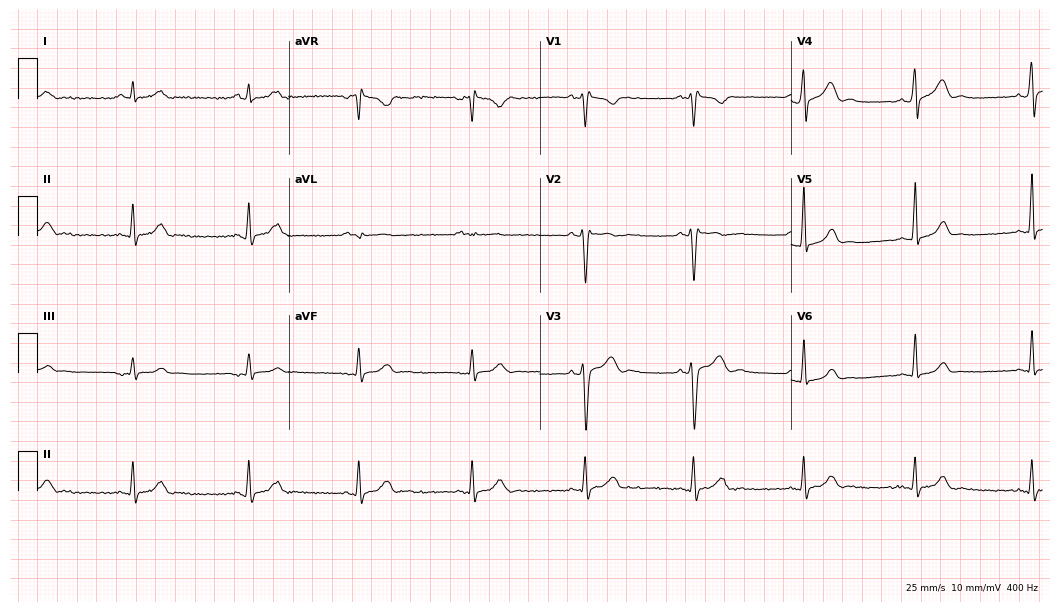
ECG (10.2-second recording at 400 Hz) — a 23-year-old male. Screened for six findings — first-degree AV block, right bundle branch block (RBBB), left bundle branch block (LBBB), sinus bradycardia, atrial fibrillation (AF), sinus tachycardia — none is recorded. Other findings, if any, are not listed.